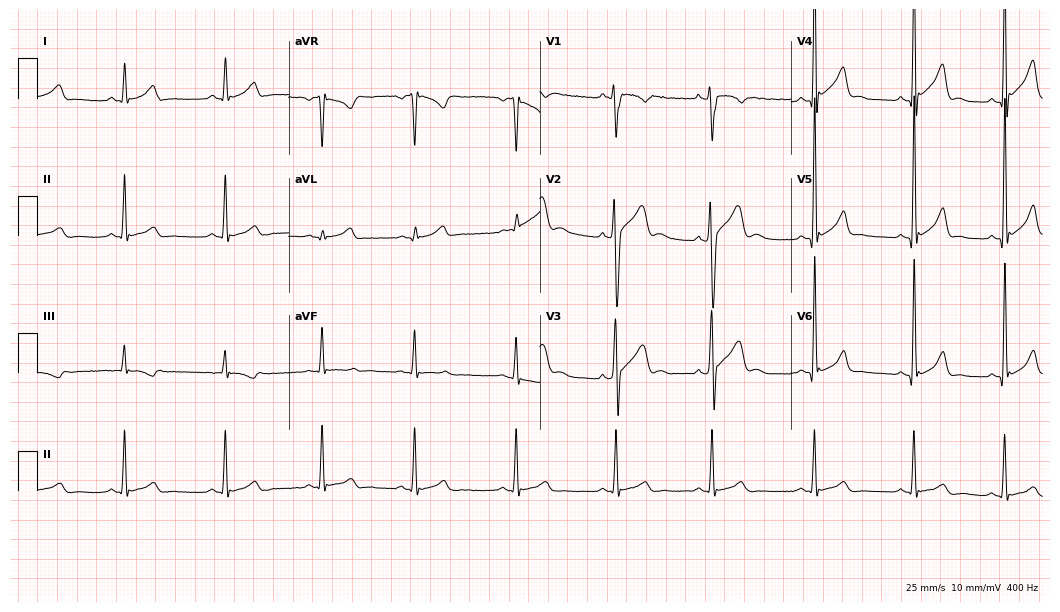
ECG — an 18-year-old male patient. Labelled as a normal ECG.